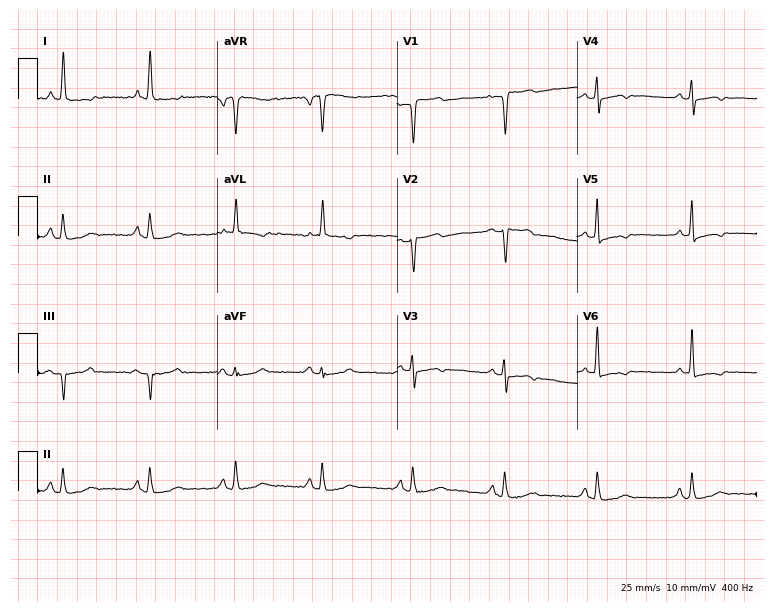
Standard 12-lead ECG recorded from a 63-year-old woman. None of these six findings is recorded: first-degree AV block, right bundle branch block (RBBB), left bundle branch block (LBBB), sinus bradycardia, atrial fibrillation (AF), sinus tachycardia. Findings outside these six are not listed.